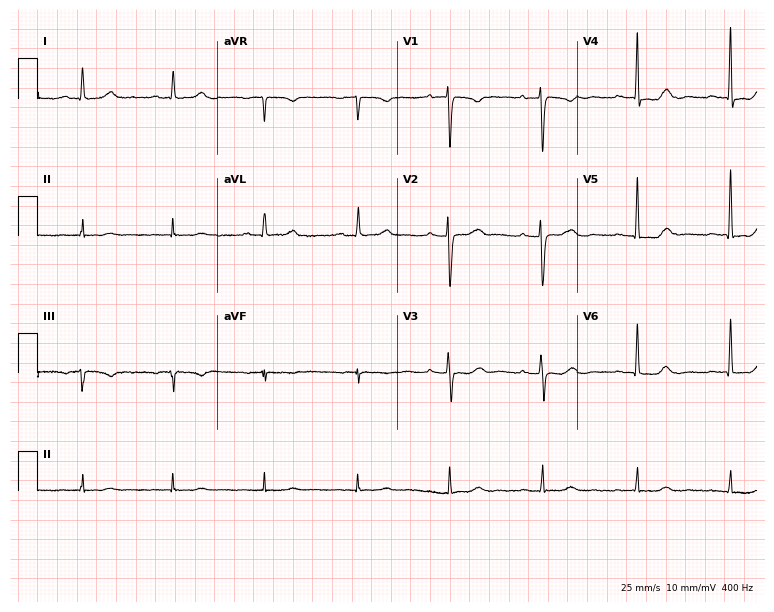
Electrocardiogram, a female patient, 61 years old. Overall reading on record: normal ECG.